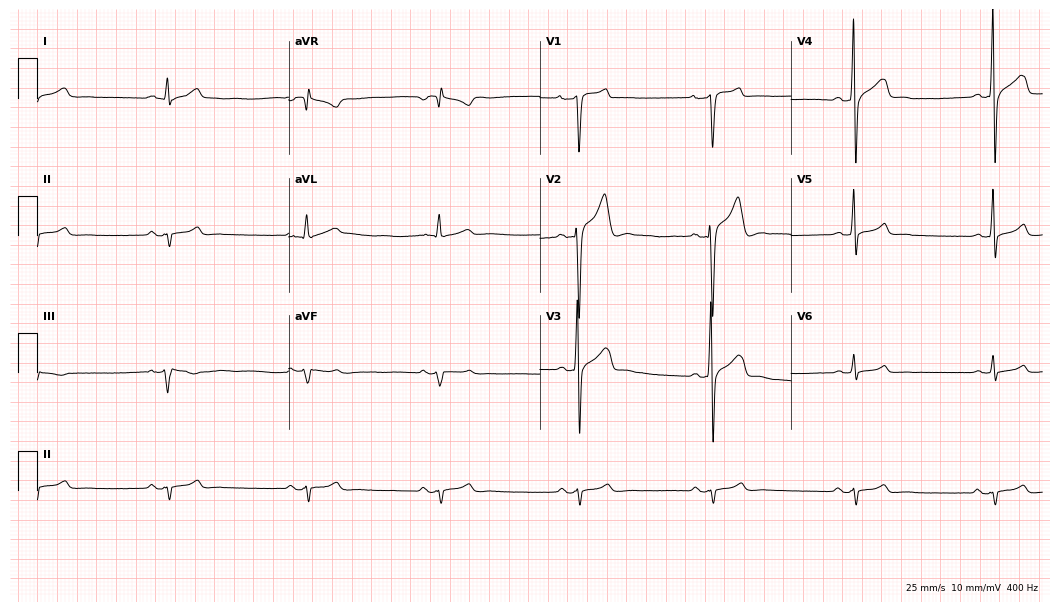
Resting 12-lead electrocardiogram (10.2-second recording at 400 Hz). Patient: a man, 23 years old. The tracing shows sinus bradycardia (a sinus rate of 50 beats per minute or less).